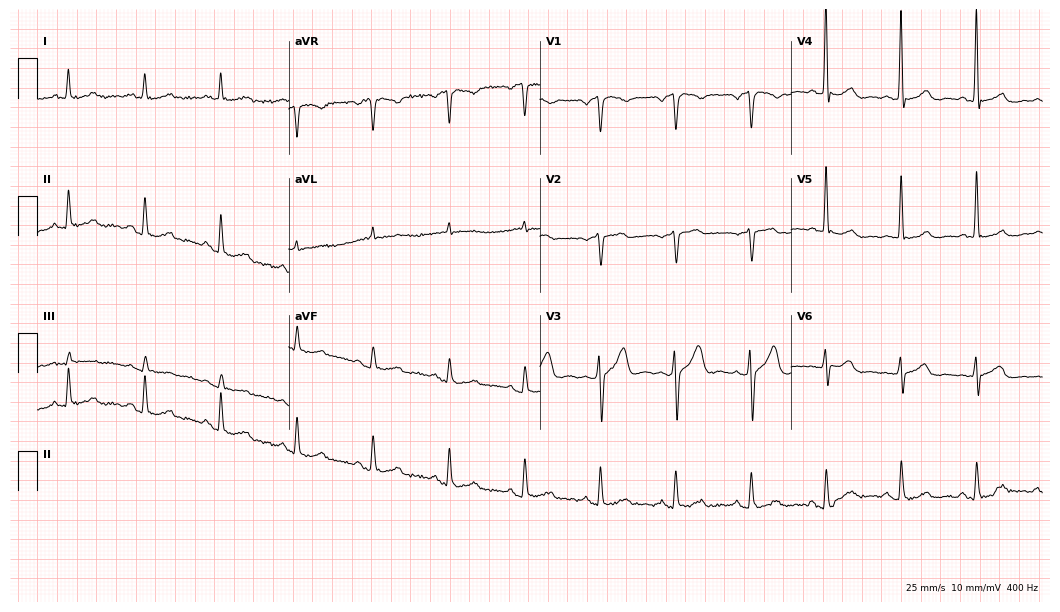
12-lead ECG from a 57-year-old male (10.2-second recording at 400 Hz). No first-degree AV block, right bundle branch block, left bundle branch block, sinus bradycardia, atrial fibrillation or sinus tachycardia recorded for this tracing.